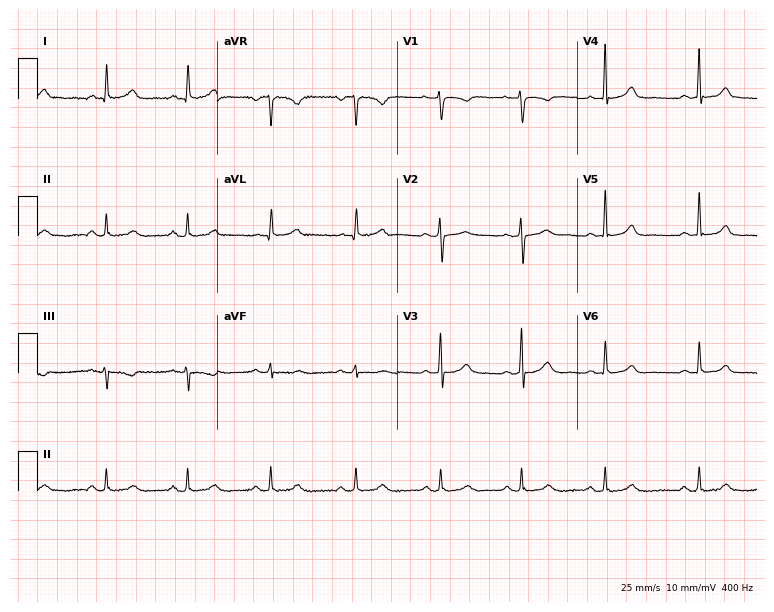
ECG (7.3-second recording at 400 Hz) — a female patient, 38 years old. Labelled as a normal ECG.